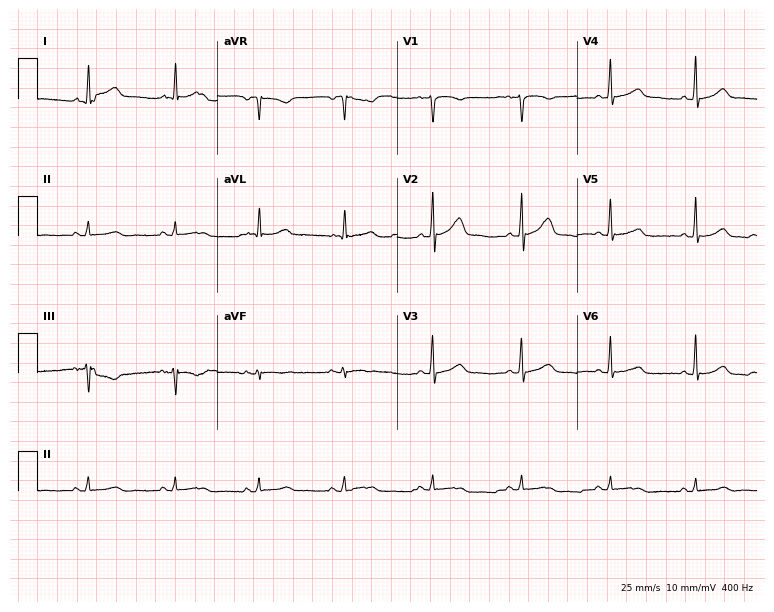
Resting 12-lead electrocardiogram (7.3-second recording at 400 Hz). Patient: a woman, 54 years old. Read as a normal ECG.